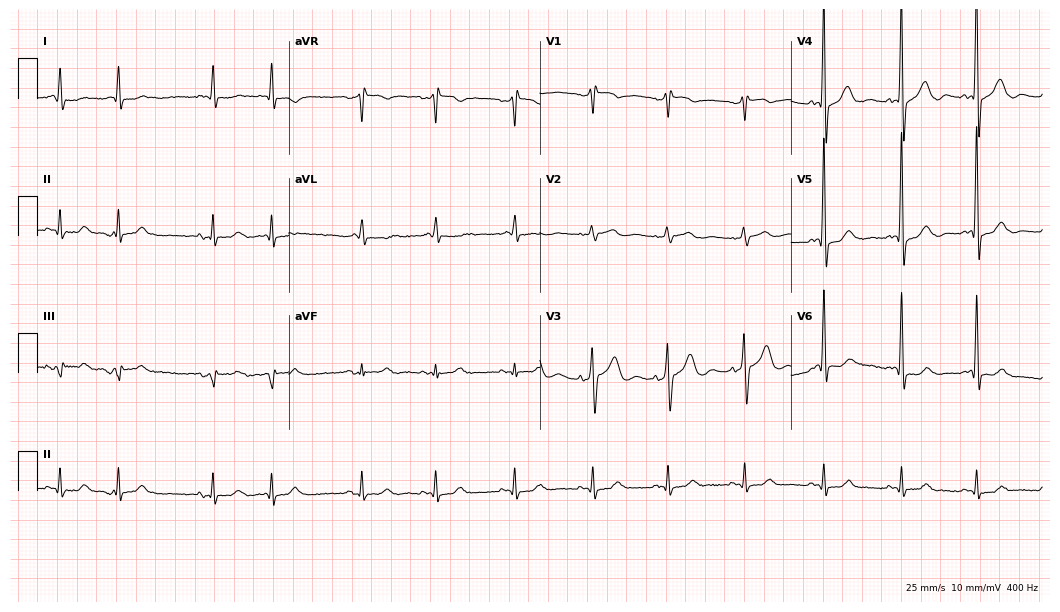
Standard 12-lead ECG recorded from a male patient, 78 years old (10.2-second recording at 400 Hz). None of these six findings is recorded: first-degree AV block, right bundle branch block, left bundle branch block, sinus bradycardia, atrial fibrillation, sinus tachycardia. Only these six findings were labelled.